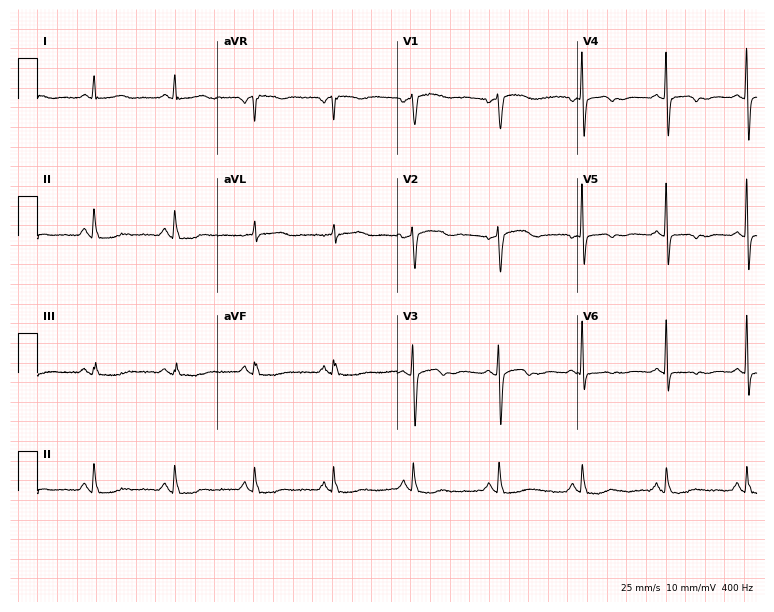
ECG (7.3-second recording at 400 Hz) — a female, 82 years old. Screened for six findings — first-degree AV block, right bundle branch block (RBBB), left bundle branch block (LBBB), sinus bradycardia, atrial fibrillation (AF), sinus tachycardia — none is recorded. Findings outside these six are not listed.